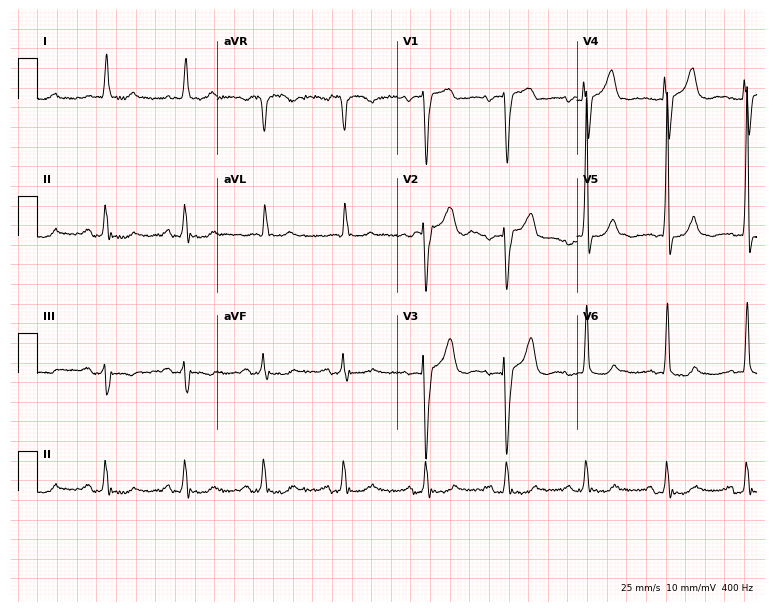
ECG (7.3-second recording at 400 Hz) — a 78-year-old male. Screened for six findings — first-degree AV block, right bundle branch block (RBBB), left bundle branch block (LBBB), sinus bradycardia, atrial fibrillation (AF), sinus tachycardia — none is recorded. Only these six findings were labelled.